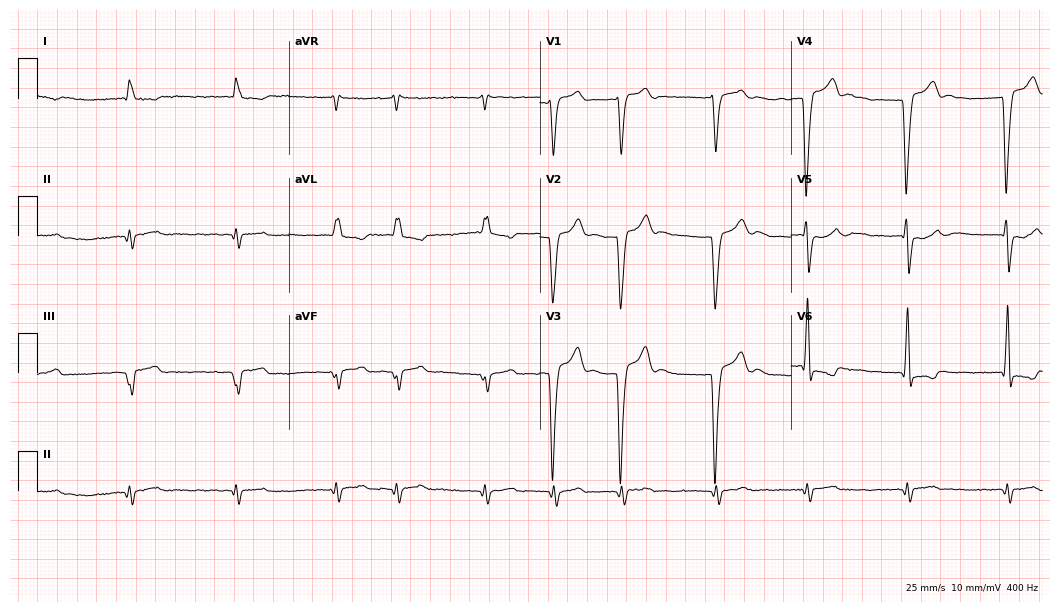
ECG (10.2-second recording at 400 Hz) — a 58-year-old male. Screened for six findings — first-degree AV block, right bundle branch block, left bundle branch block, sinus bradycardia, atrial fibrillation, sinus tachycardia — none is recorded.